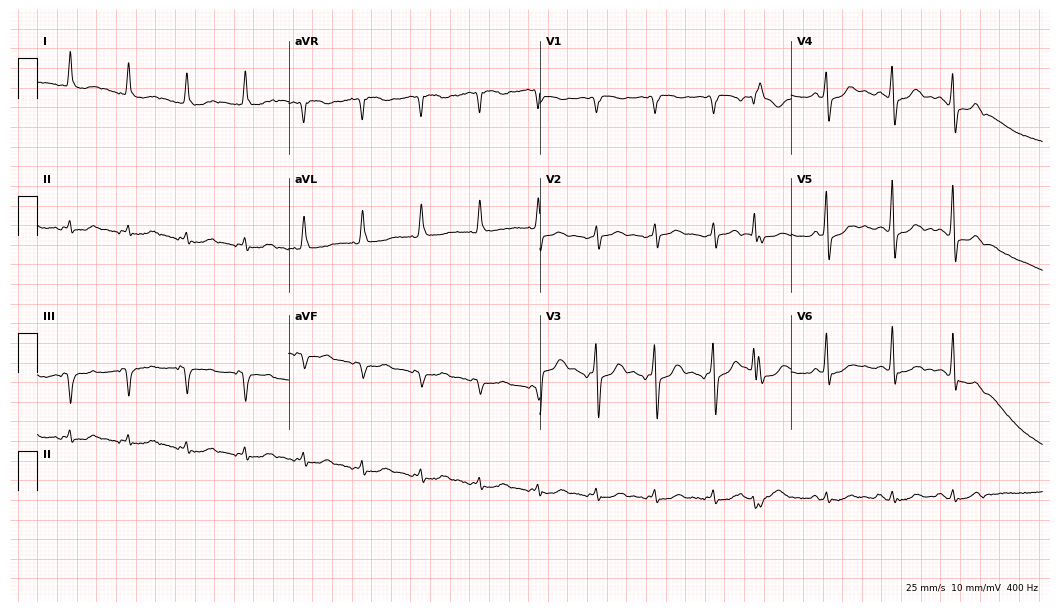
Resting 12-lead electrocardiogram. Patient: a 57-year-old male. Read as a normal ECG.